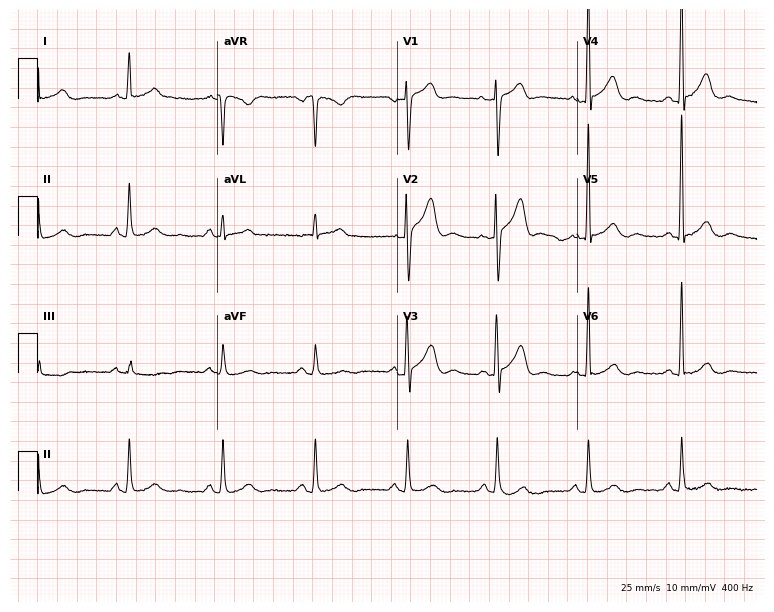
Resting 12-lead electrocardiogram. Patient: a 75-year-old man. Read as a normal ECG.